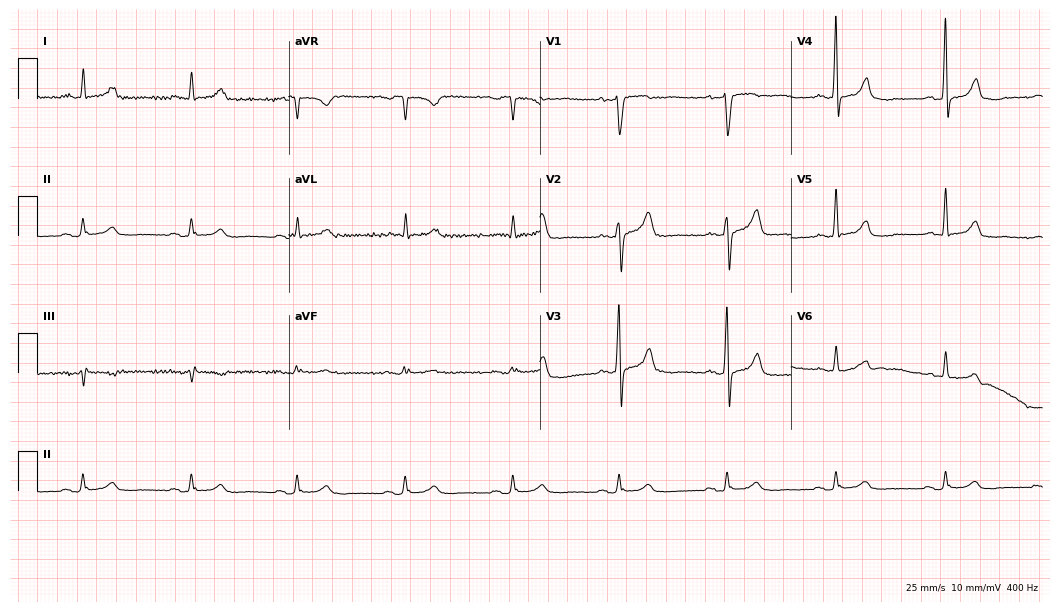
ECG — a male, 76 years old. Labelled as a normal ECG.